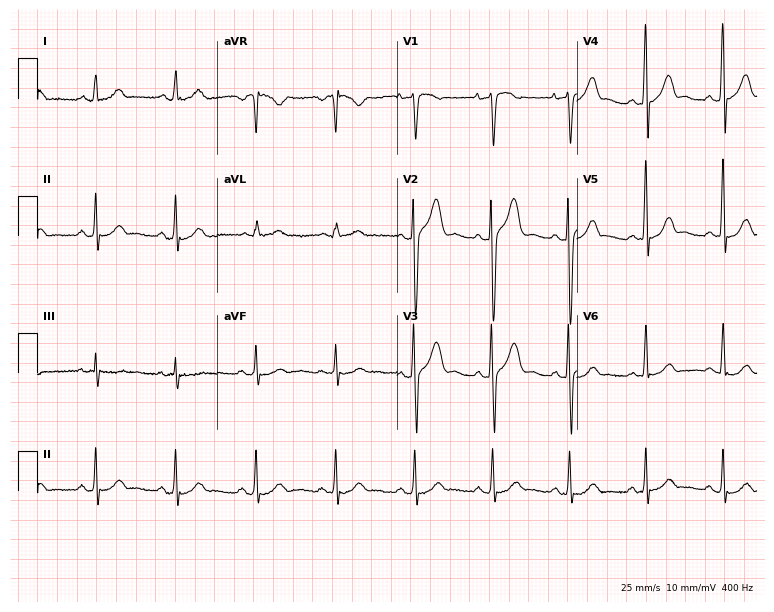
Standard 12-lead ECG recorded from a 31-year-old man. Read as a normal ECG.